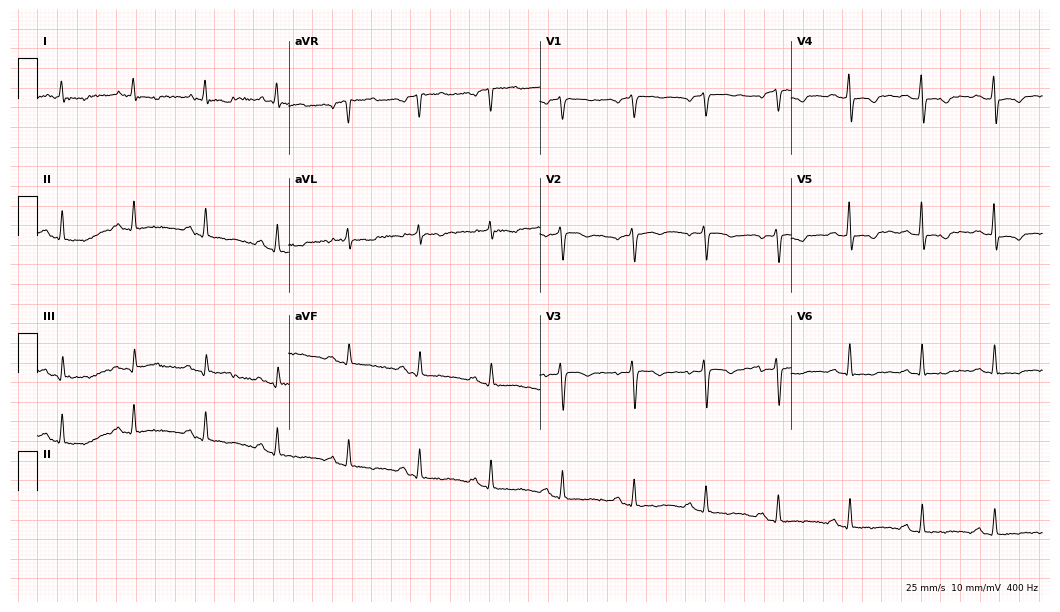
12-lead ECG from a female, 55 years old (10.2-second recording at 400 Hz). No first-degree AV block, right bundle branch block, left bundle branch block, sinus bradycardia, atrial fibrillation or sinus tachycardia recorded for this tracing. Only these six findings were labelled.